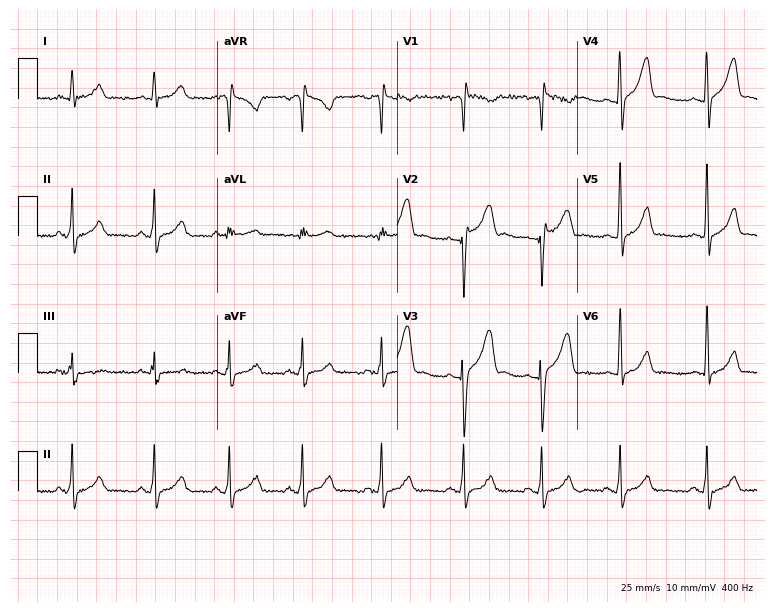
12-lead ECG (7.3-second recording at 400 Hz) from a man, 24 years old. Screened for six findings — first-degree AV block, right bundle branch block, left bundle branch block, sinus bradycardia, atrial fibrillation, sinus tachycardia — none is recorded.